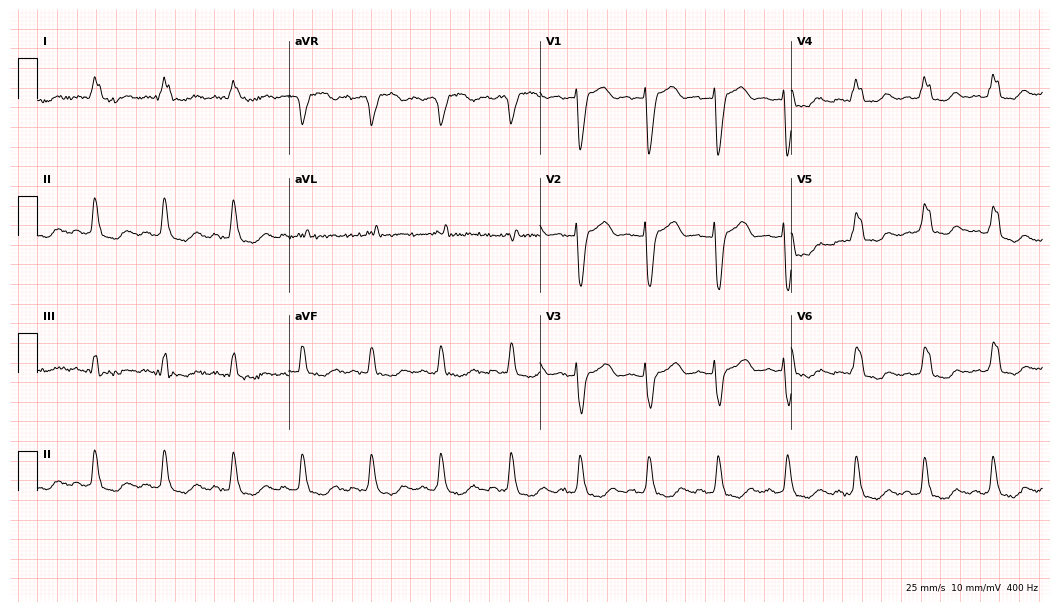
ECG (10.2-second recording at 400 Hz) — a woman, 84 years old. Findings include left bundle branch block.